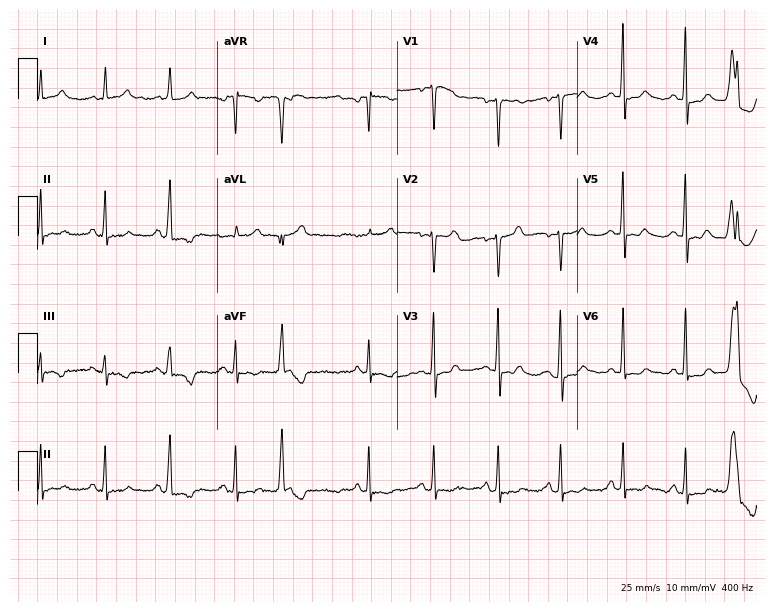
12-lead ECG (7.3-second recording at 400 Hz) from a female patient, 57 years old. Screened for six findings — first-degree AV block, right bundle branch block, left bundle branch block, sinus bradycardia, atrial fibrillation, sinus tachycardia — none is recorded. Other findings, if any, are not listed.